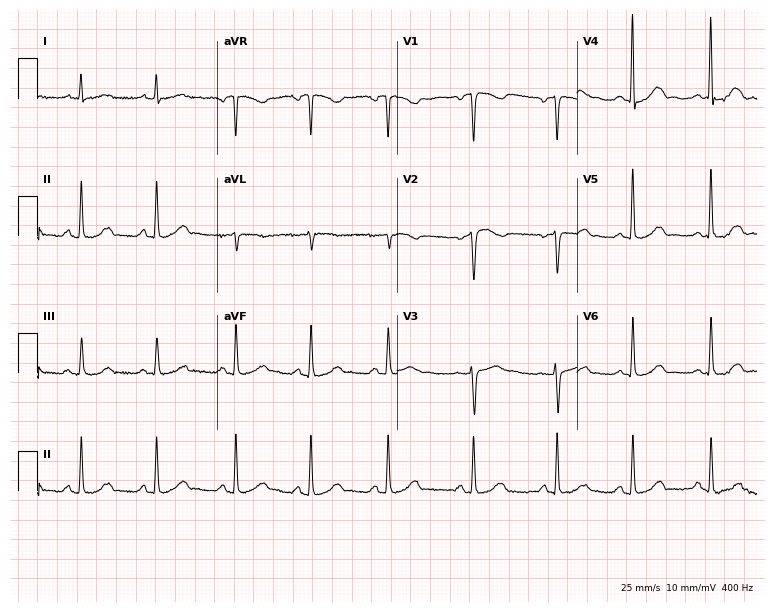
Resting 12-lead electrocardiogram. Patient: a 31-year-old female. Read as a normal ECG.